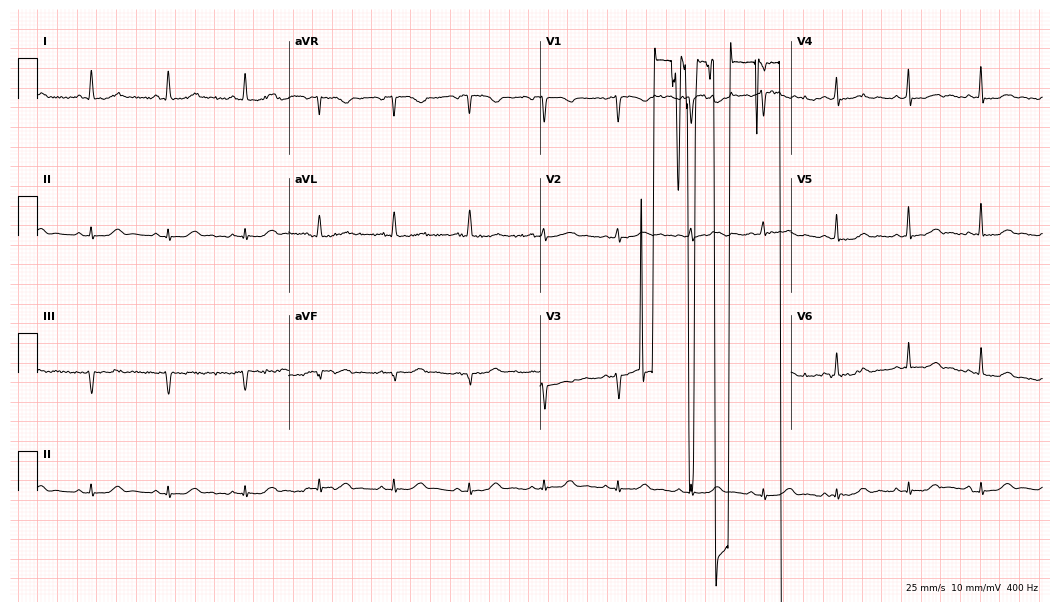
12-lead ECG from a female patient, 69 years old (10.2-second recording at 400 Hz). No first-degree AV block, right bundle branch block (RBBB), left bundle branch block (LBBB), sinus bradycardia, atrial fibrillation (AF) or sinus tachycardia recorded for this tracing. Other findings, if any, are not listed.